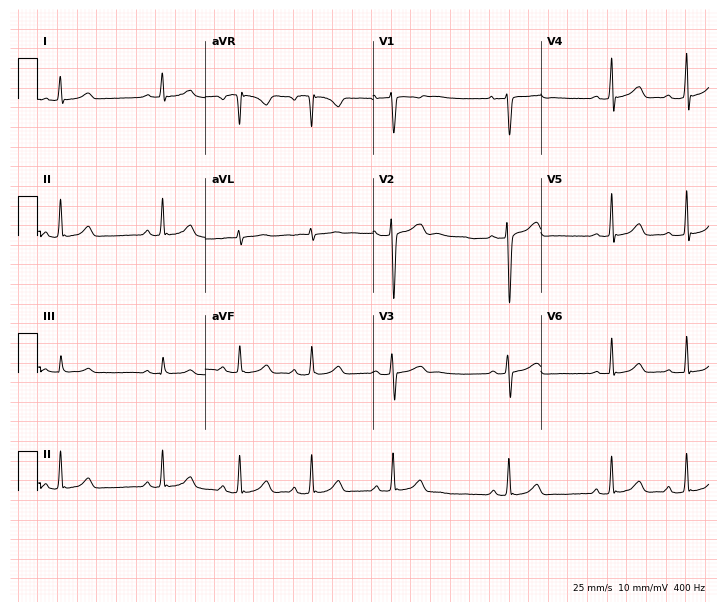
Standard 12-lead ECG recorded from a female, 17 years old (6.8-second recording at 400 Hz). None of these six findings is recorded: first-degree AV block, right bundle branch block (RBBB), left bundle branch block (LBBB), sinus bradycardia, atrial fibrillation (AF), sinus tachycardia. Only these six findings were labelled.